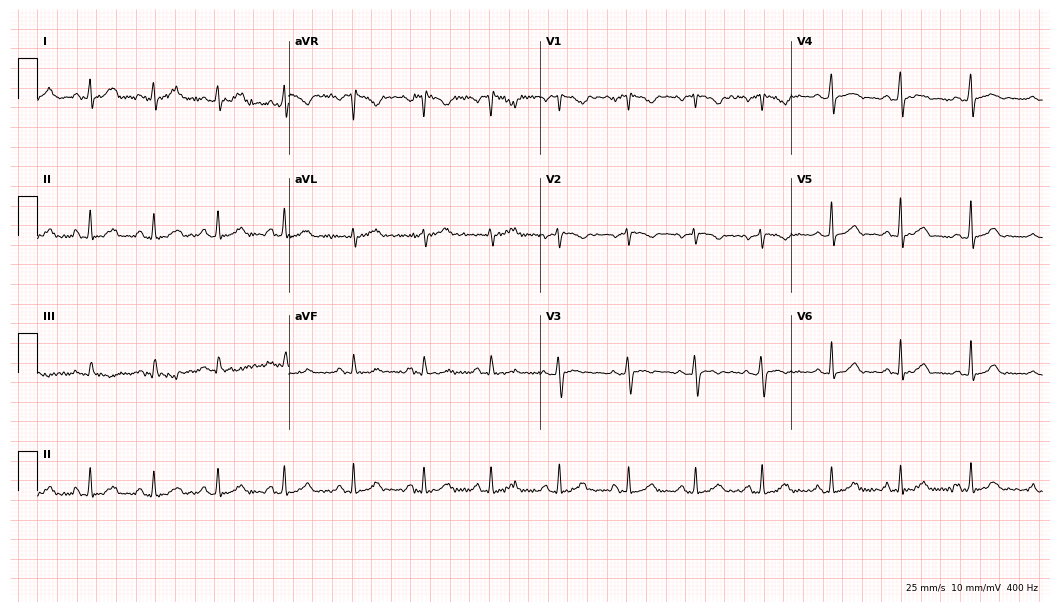
Resting 12-lead electrocardiogram. Patient: a 41-year-old female. Read as a normal ECG.